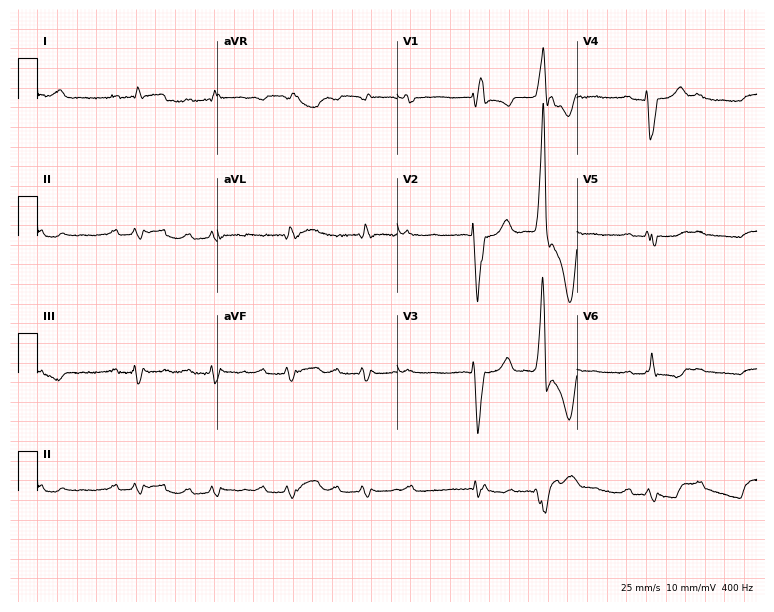
12-lead ECG from a 69-year-old male. No first-degree AV block, right bundle branch block (RBBB), left bundle branch block (LBBB), sinus bradycardia, atrial fibrillation (AF) or sinus tachycardia recorded for this tracing. Other findings, if any, are not listed.